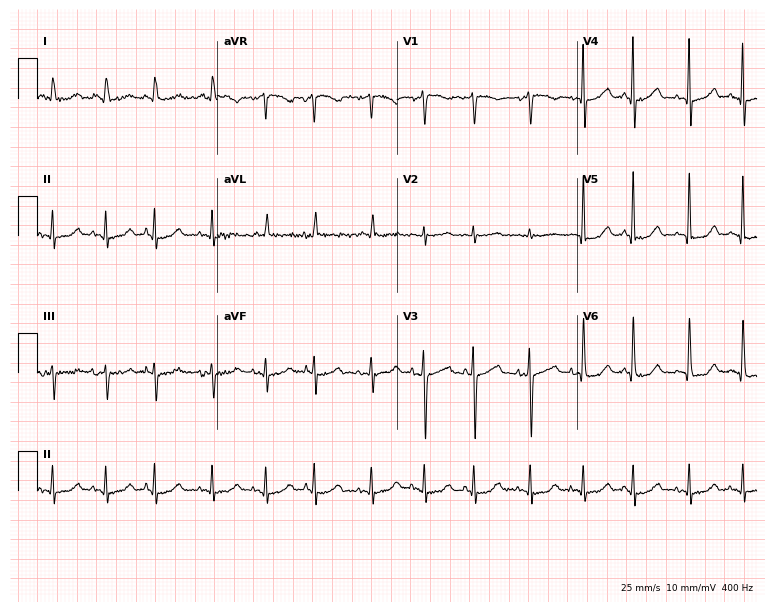
Standard 12-lead ECG recorded from a woman, 83 years old. The tracing shows sinus tachycardia (a sinus rate of 100 beats per minute or more).